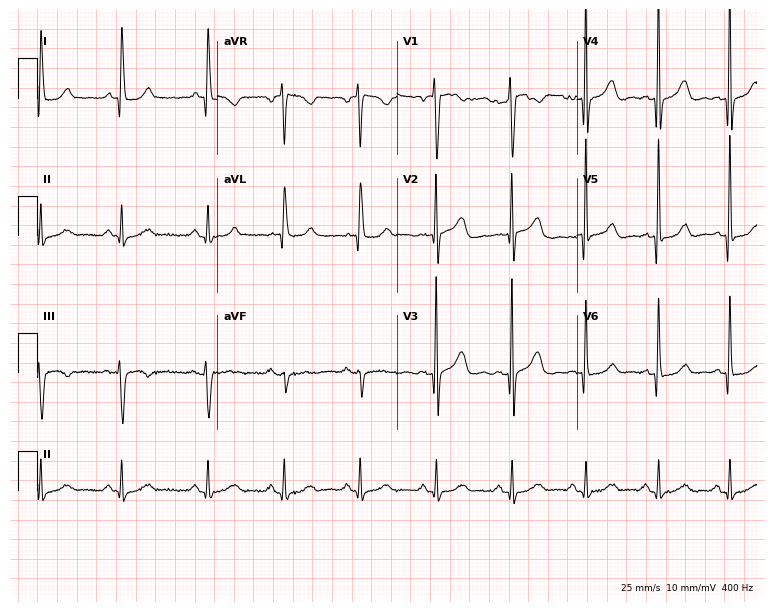
Standard 12-lead ECG recorded from a 58-year-old female. None of these six findings is recorded: first-degree AV block, right bundle branch block, left bundle branch block, sinus bradycardia, atrial fibrillation, sinus tachycardia.